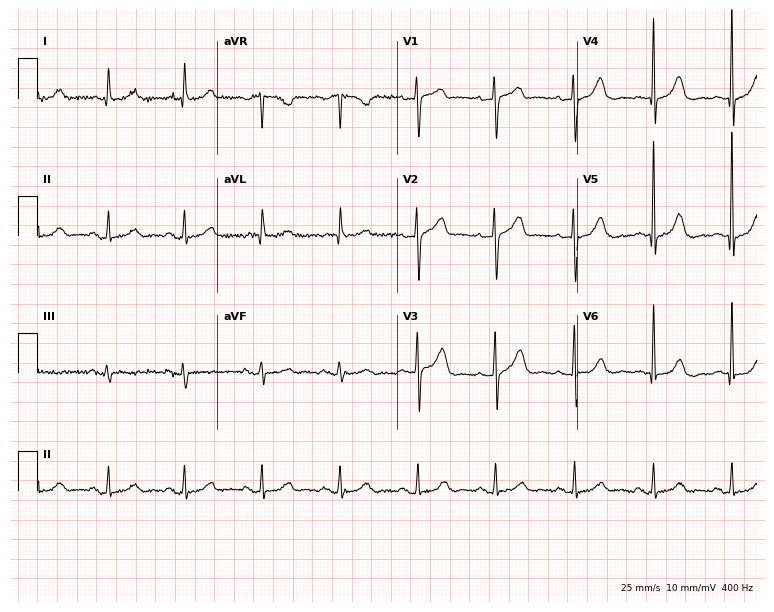
Resting 12-lead electrocardiogram (7.3-second recording at 400 Hz). Patient: a woman, 81 years old. None of these six findings is recorded: first-degree AV block, right bundle branch block, left bundle branch block, sinus bradycardia, atrial fibrillation, sinus tachycardia. Other findings, if any, are not listed.